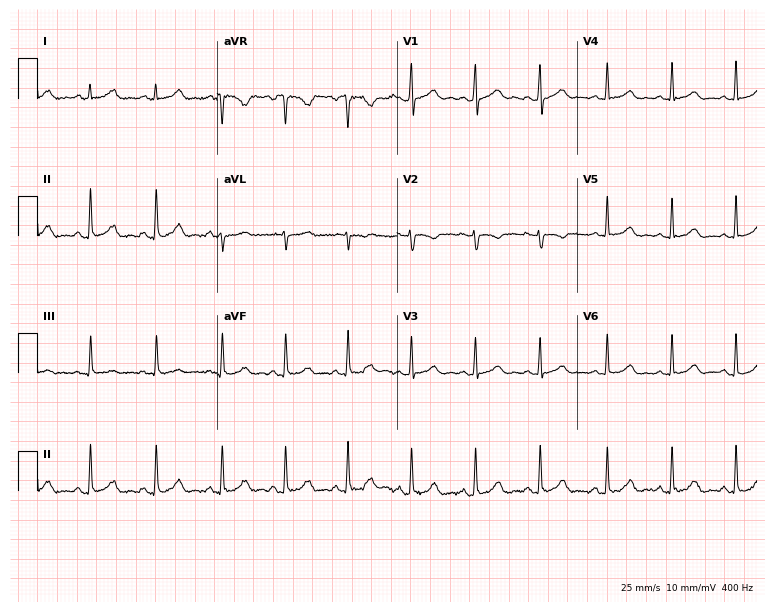
Standard 12-lead ECG recorded from a 25-year-old woman (7.3-second recording at 400 Hz). Read as a normal ECG.